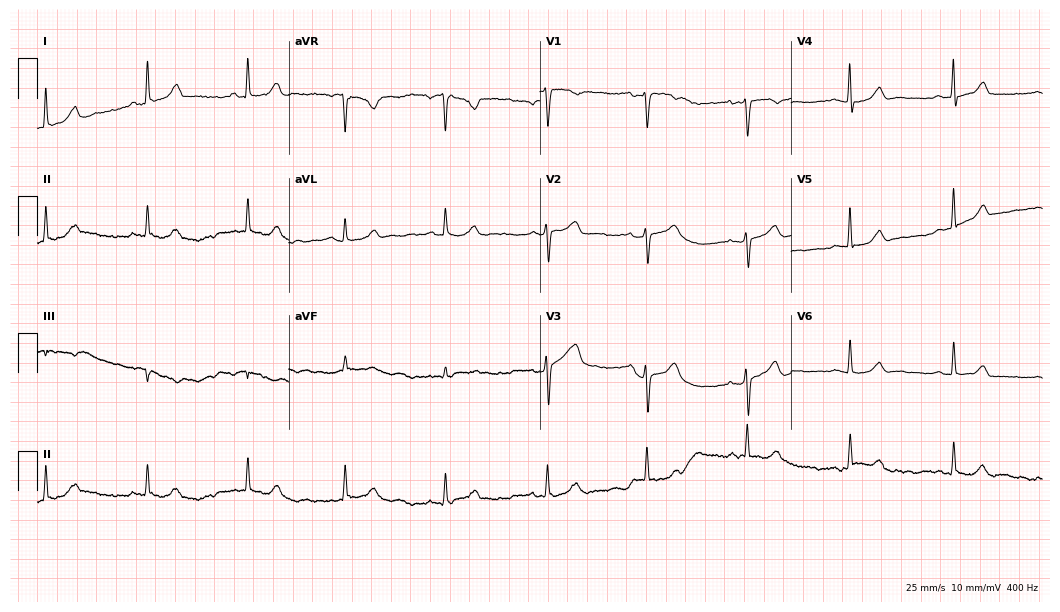
12-lead ECG from a 63-year-old female patient (10.2-second recording at 400 Hz). Recorded interpretation: within normal limits.